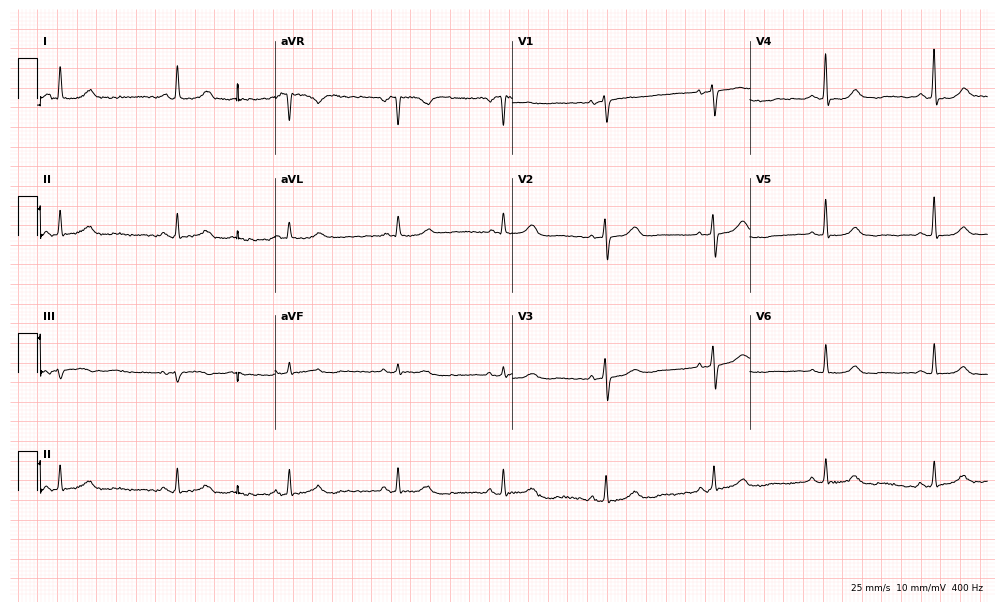
Resting 12-lead electrocardiogram (9.7-second recording at 400 Hz). Patient: a 62-year-old female. Read as a normal ECG.